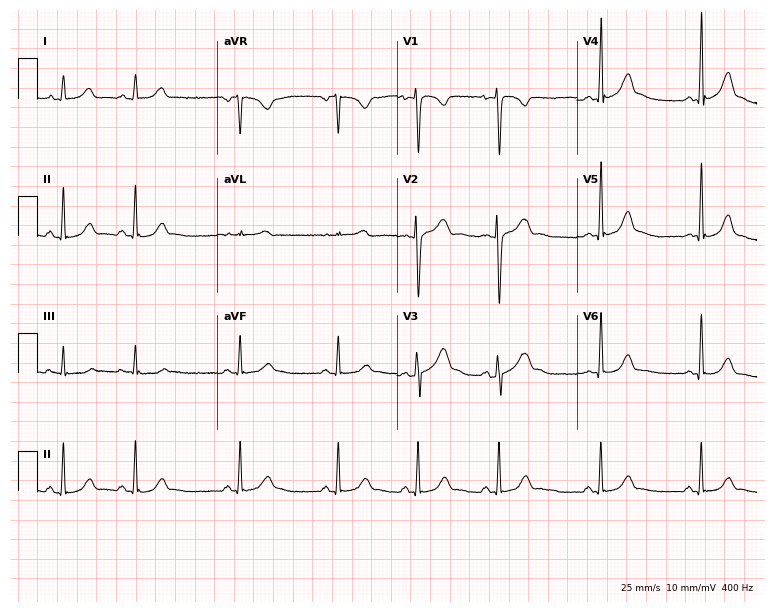
Electrocardiogram, an 18-year-old female patient. Overall reading on record: normal ECG.